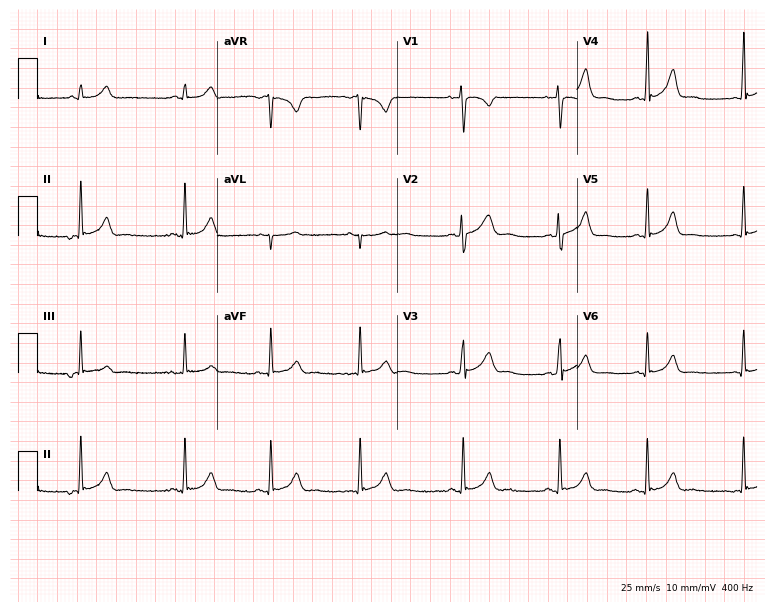
Standard 12-lead ECG recorded from a 23-year-old woman. None of these six findings is recorded: first-degree AV block, right bundle branch block (RBBB), left bundle branch block (LBBB), sinus bradycardia, atrial fibrillation (AF), sinus tachycardia. Other findings, if any, are not listed.